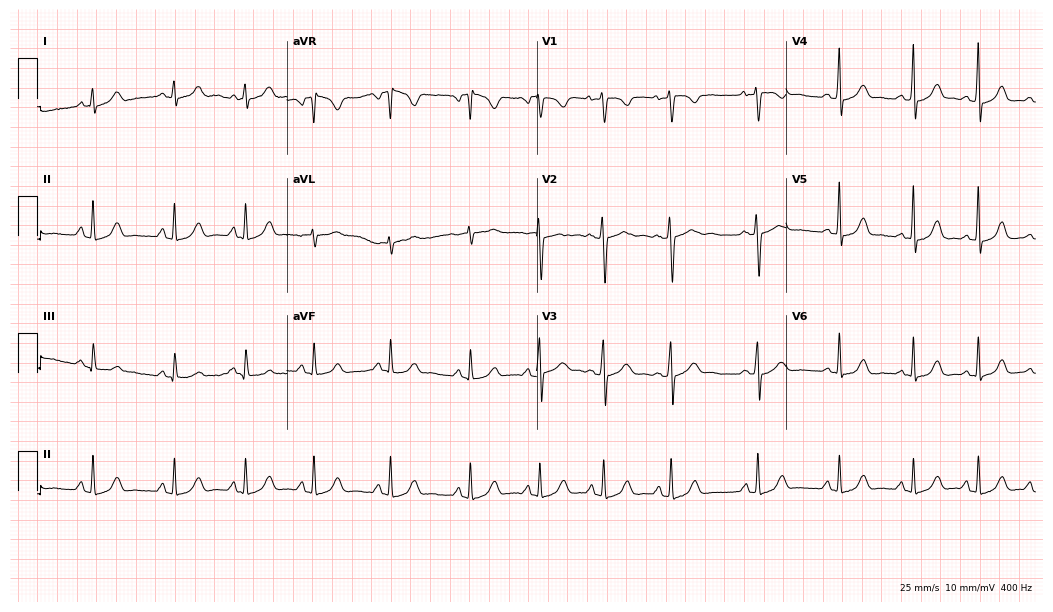
Standard 12-lead ECG recorded from a female patient, 24 years old (10.2-second recording at 400 Hz). Read as a normal ECG.